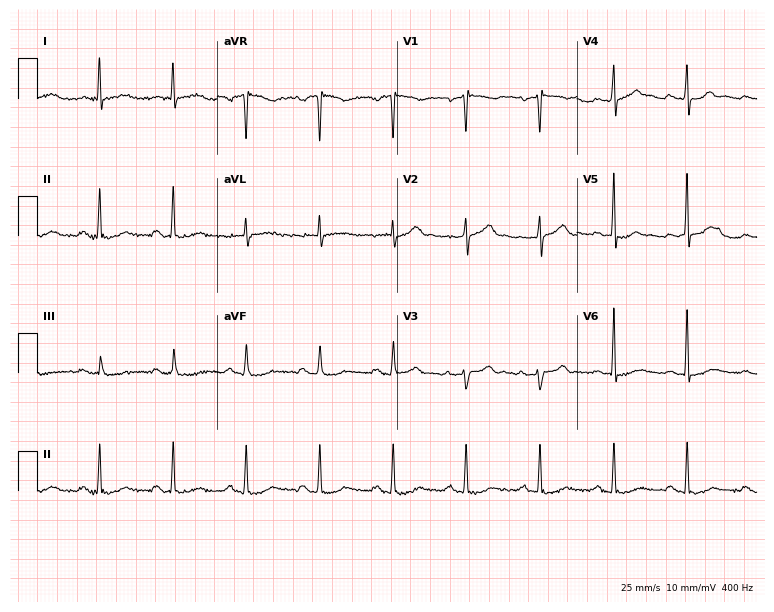
Resting 12-lead electrocardiogram. Patient: a 60-year-old male. Read as a normal ECG.